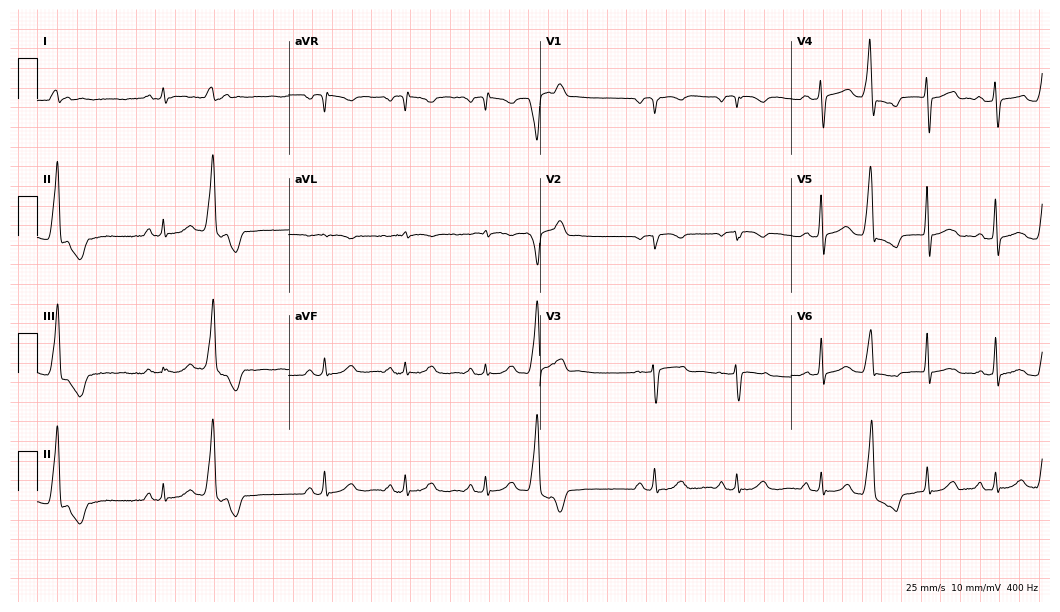
12-lead ECG from a 75-year-old man (10.2-second recording at 400 Hz). No first-degree AV block, right bundle branch block, left bundle branch block, sinus bradycardia, atrial fibrillation or sinus tachycardia recorded for this tracing. Other findings, if any, are not listed.